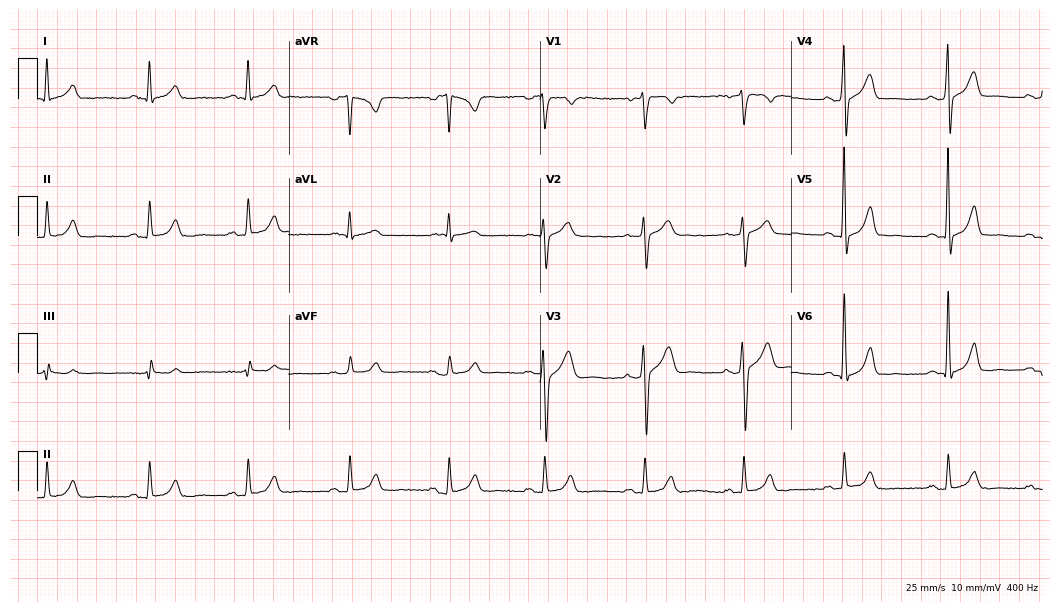
Resting 12-lead electrocardiogram. Patient: a 53-year-old man. Read as a normal ECG.